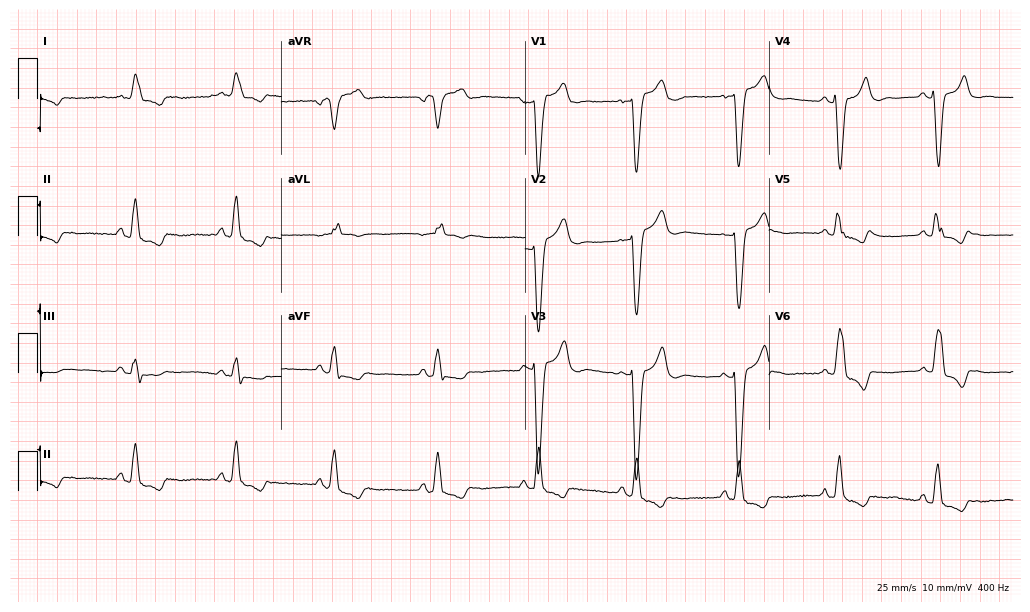
12-lead ECG from a woman, 67 years old. Findings include left bundle branch block (LBBB).